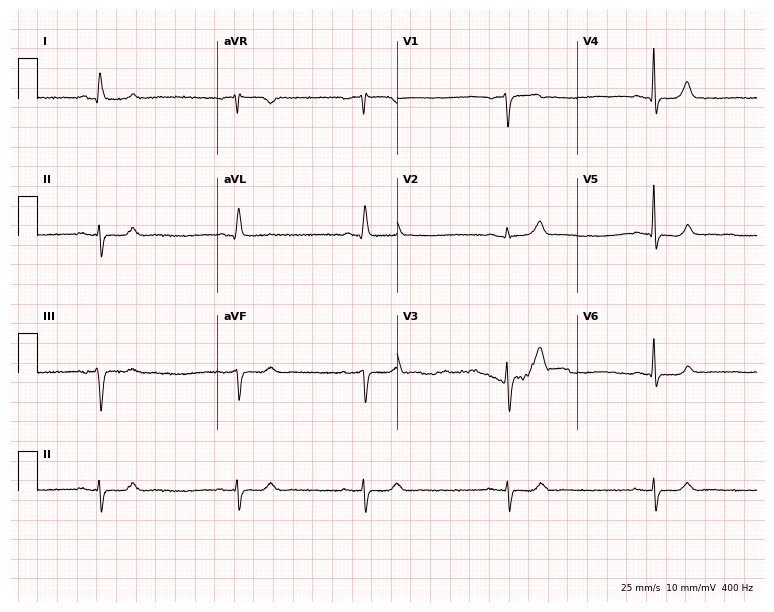
Electrocardiogram (7.3-second recording at 400 Hz), an 84-year-old male patient. Interpretation includes sinus bradycardia (a sinus rate of 50 beats per minute or less).